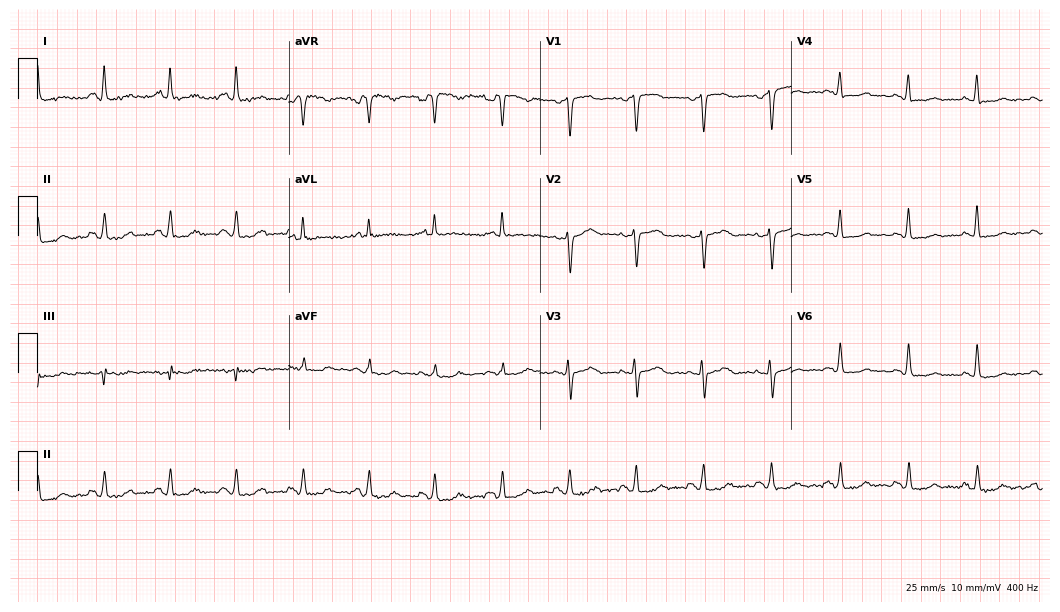
Standard 12-lead ECG recorded from a 58-year-old woman. Read as a normal ECG.